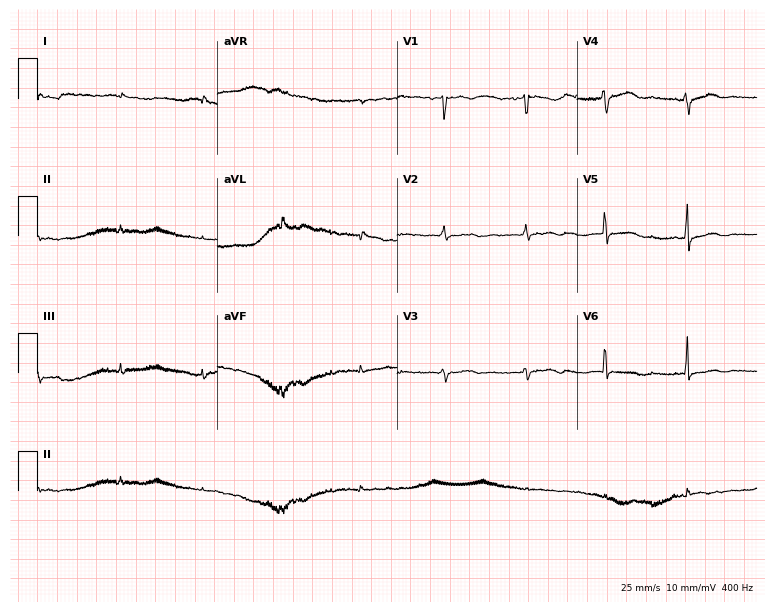
ECG (7.3-second recording at 400 Hz) — a 50-year-old woman. Screened for six findings — first-degree AV block, right bundle branch block (RBBB), left bundle branch block (LBBB), sinus bradycardia, atrial fibrillation (AF), sinus tachycardia — none is recorded.